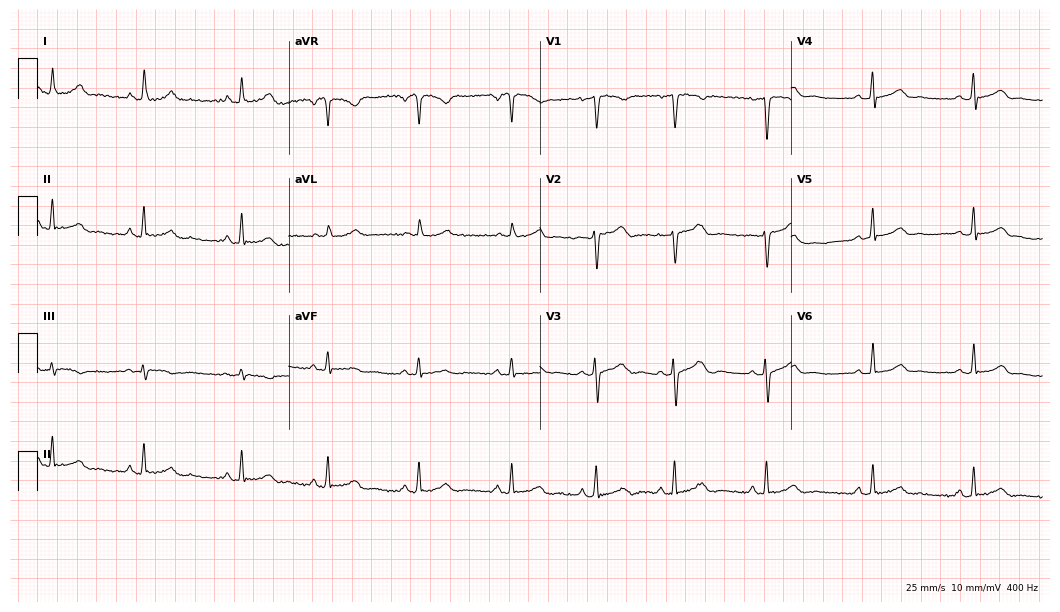
12-lead ECG from a 35-year-old female. Recorded interpretation: within normal limits.